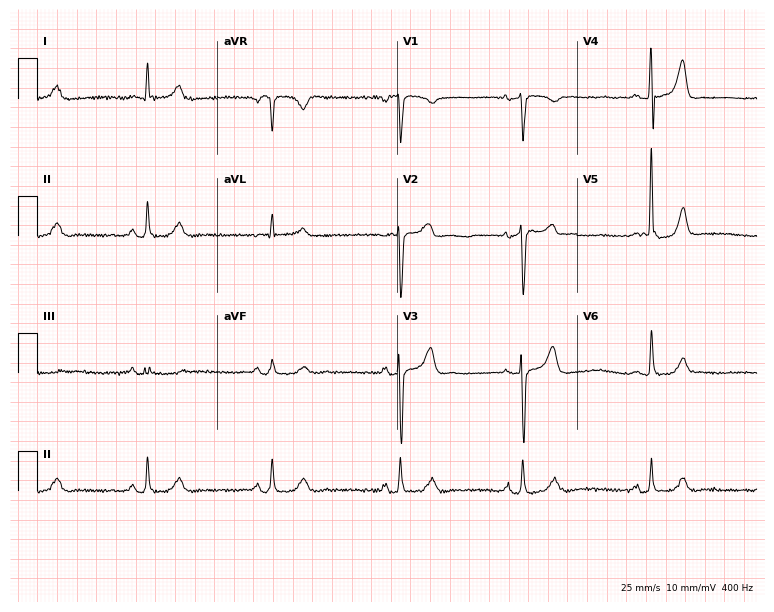
12-lead ECG from a male patient, 77 years old. Findings include sinus bradycardia (a sinus rate of 50 beats per minute or less).